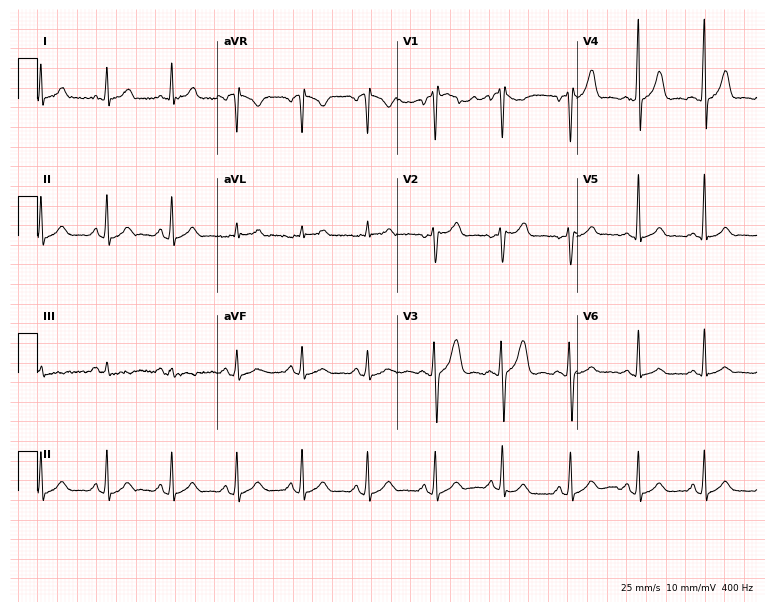
Standard 12-lead ECG recorded from a male, 24 years old. Read as a normal ECG.